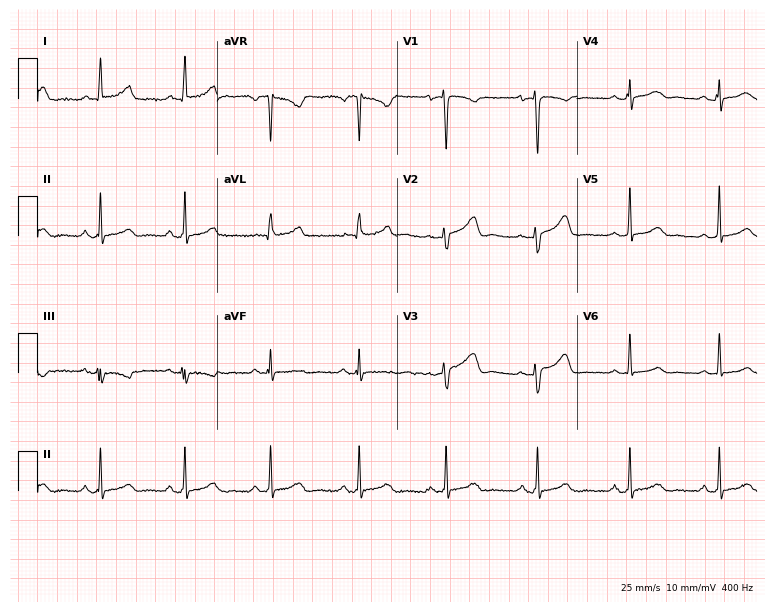
Resting 12-lead electrocardiogram (7.3-second recording at 400 Hz). Patient: a female, 33 years old. Read as a normal ECG.